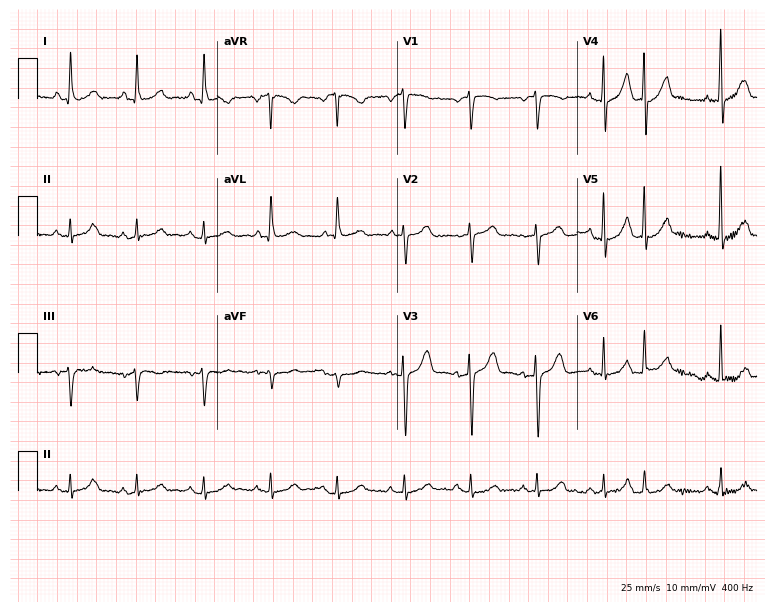
Resting 12-lead electrocardiogram. Patient: a woman, 81 years old. Read as a normal ECG.